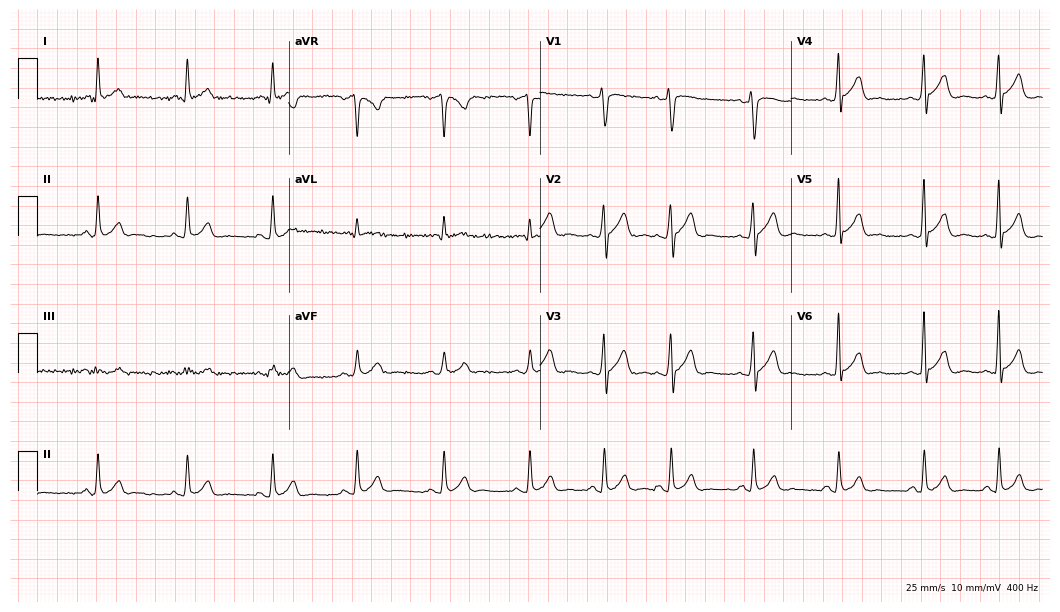
Electrocardiogram (10.2-second recording at 400 Hz), a man, 46 years old. Overall reading on record: normal ECG.